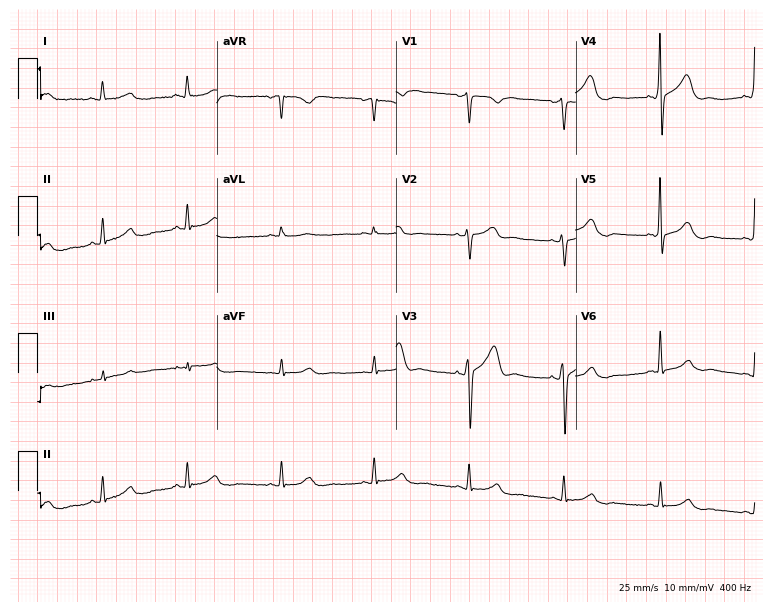
ECG (7.3-second recording at 400 Hz) — a 64-year-old male. Screened for six findings — first-degree AV block, right bundle branch block, left bundle branch block, sinus bradycardia, atrial fibrillation, sinus tachycardia — none is recorded. Only these six findings were labelled.